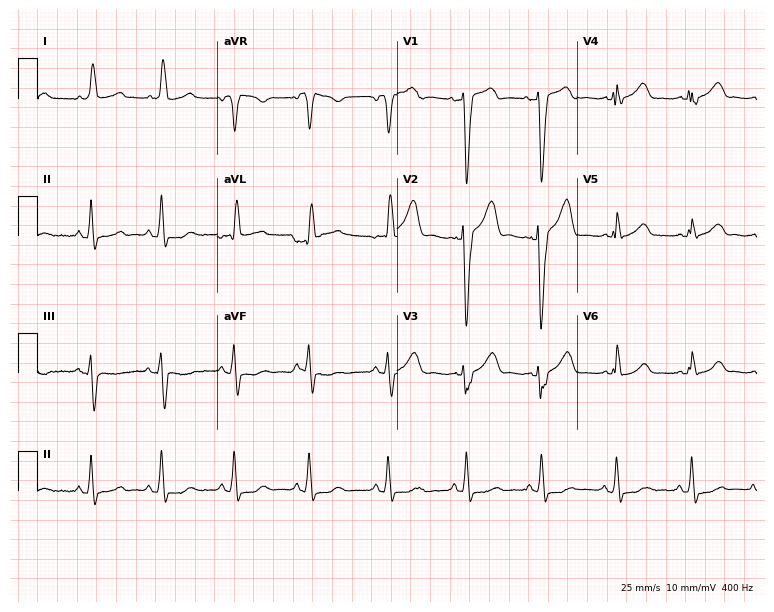
ECG — a 57-year-old woman. Findings include left bundle branch block.